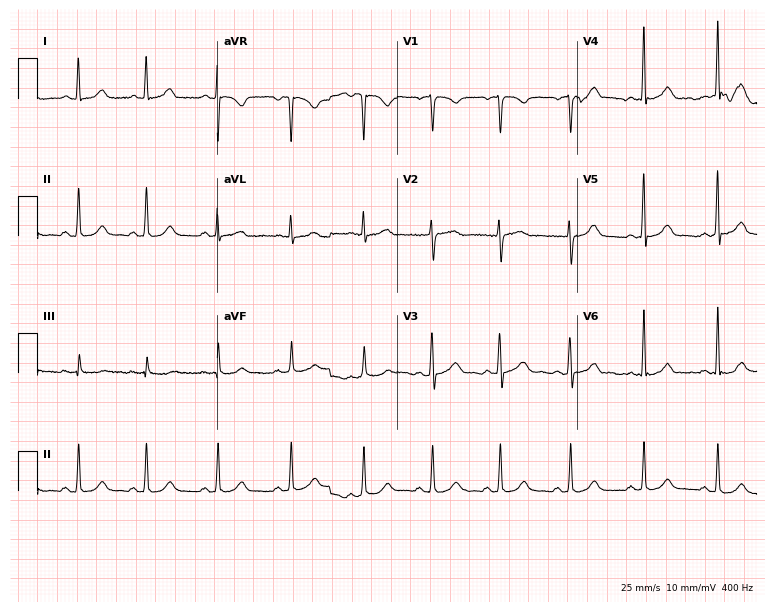
12-lead ECG from a woman, 23 years old (7.3-second recording at 400 Hz). Recorded interpretation: within normal limits.